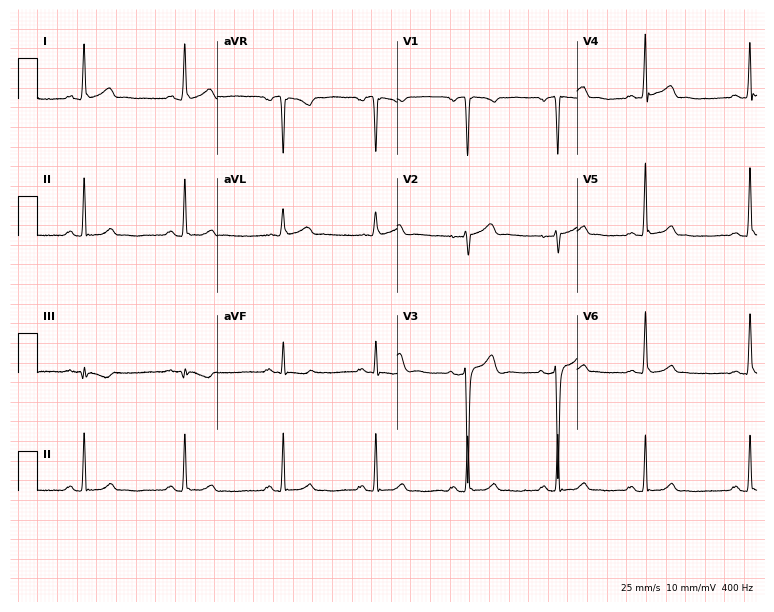
Standard 12-lead ECG recorded from a male, 33 years old (7.3-second recording at 400 Hz). Read as a normal ECG.